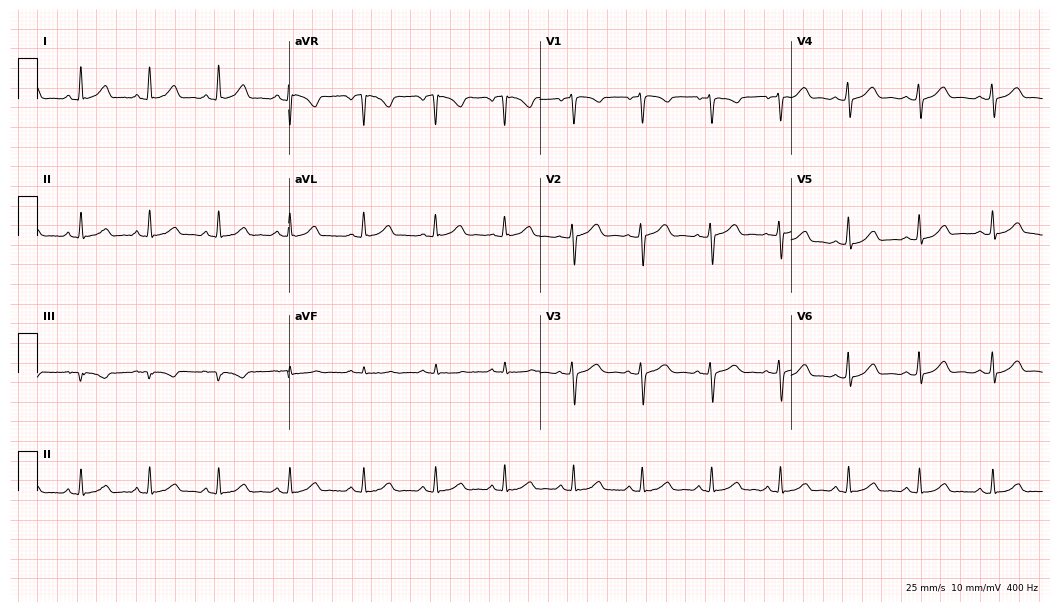
Electrocardiogram, a woman, 39 years old. Overall reading on record: normal ECG.